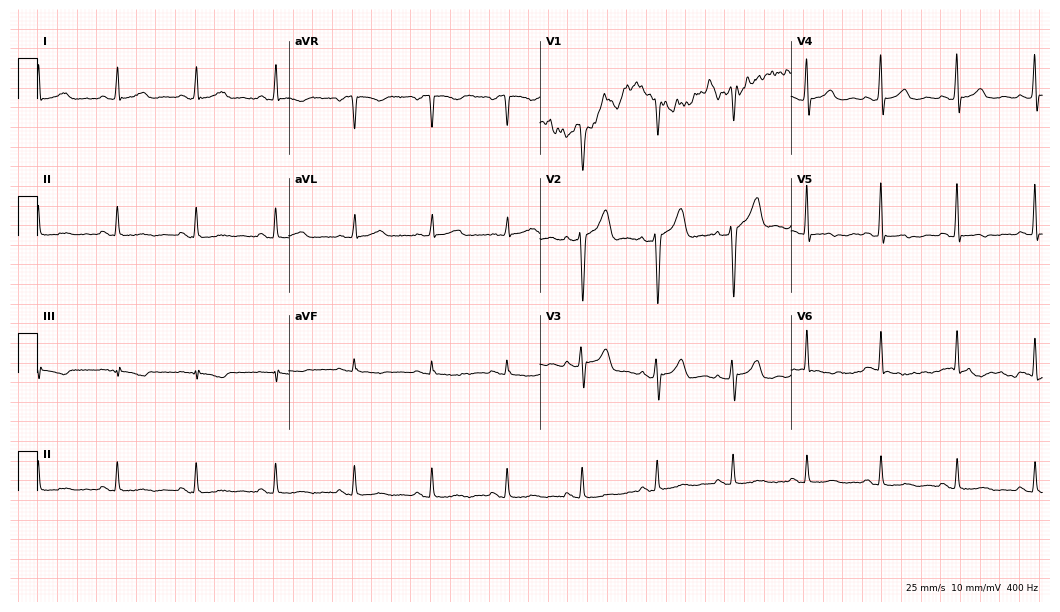
12-lead ECG from a man, 43 years old (10.2-second recording at 400 Hz). No first-degree AV block, right bundle branch block (RBBB), left bundle branch block (LBBB), sinus bradycardia, atrial fibrillation (AF) or sinus tachycardia recorded for this tracing. Findings outside these six are not listed.